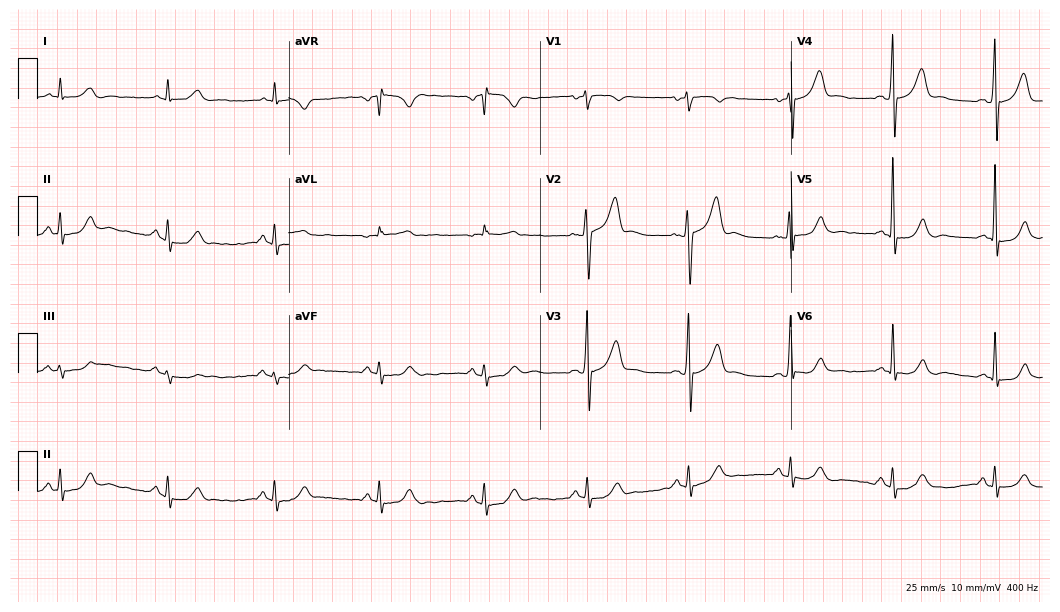
ECG (10.2-second recording at 400 Hz) — a man, 44 years old. Labelled as a normal ECG.